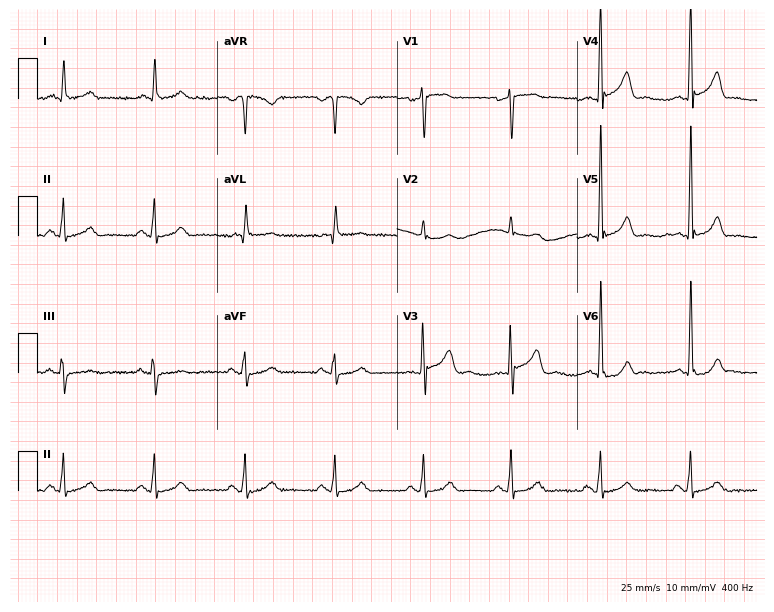
Standard 12-lead ECG recorded from a male patient, 57 years old. Read as a normal ECG.